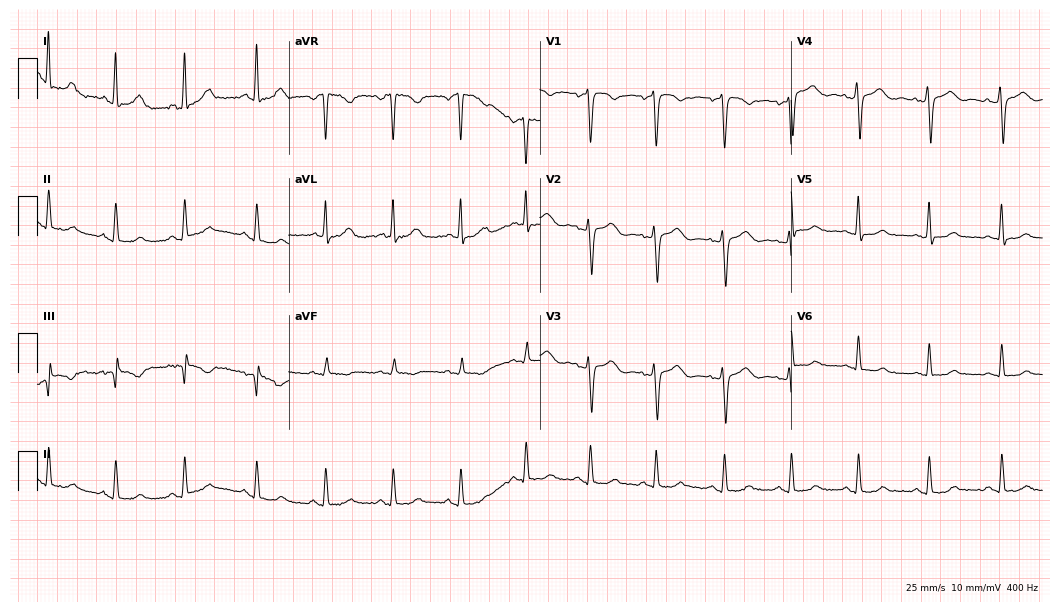
Standard 12-lead ECG recorded from a female, 39 years old. Read as a normal ECG.